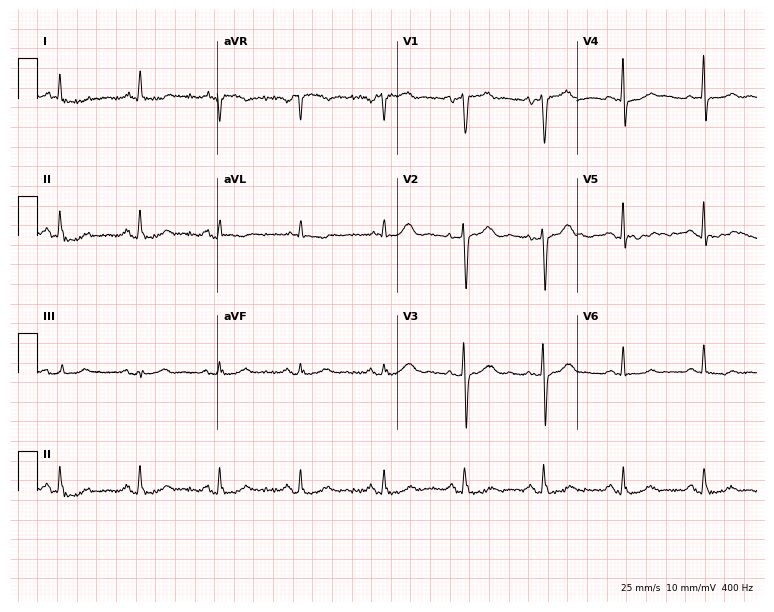
ECG — a woman, 46 years old. Screened for six findings — first-degree AV block, right bundle branch block, left bundle branch block, sinus bradycardia, atrial fibrillation, sinus tachycardia — none is recorded.